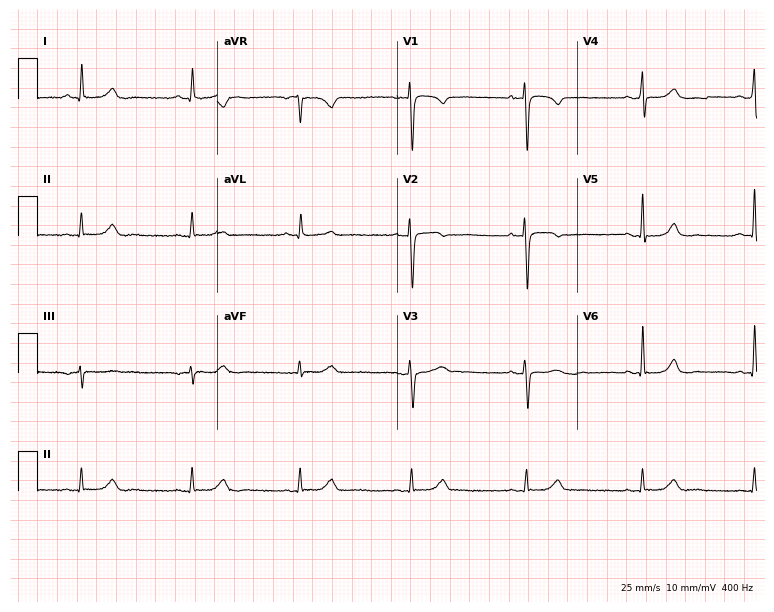
Electrocardiogram (7.3-second recording at 400 Hz), a female patient, 66 years old. Of the six screened findings (first-degree AV block, right bundle branch block (RBBB), left bundle branch block (LBBB), sinus bradycardia, atrial fibrillation (AF), sinus tachycardia), none is recorded.